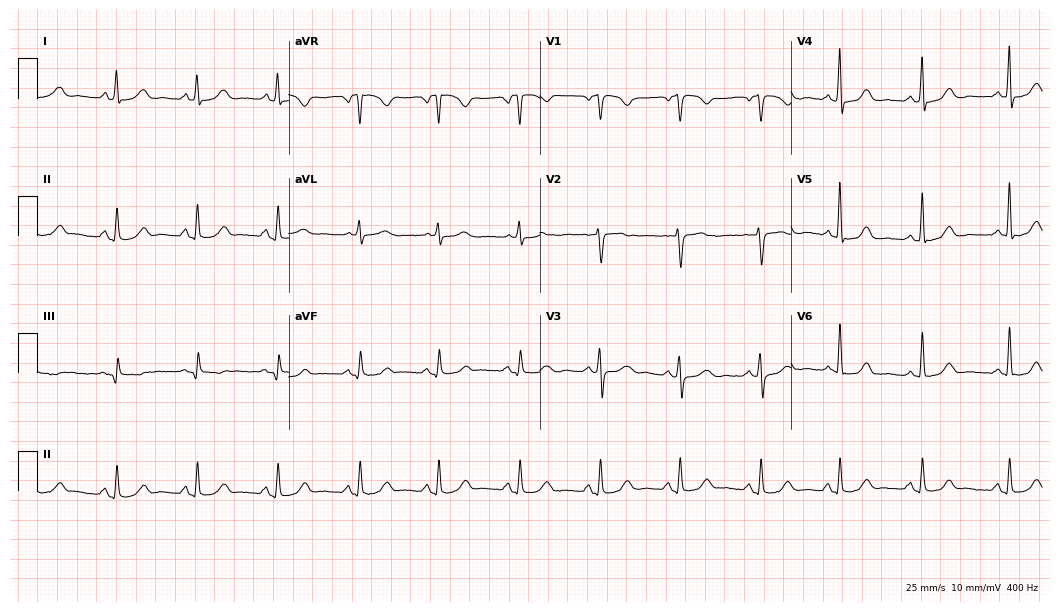
Standard 12-lead ECG recorded from a 59-year-old female patient. Read as a normal ECG.